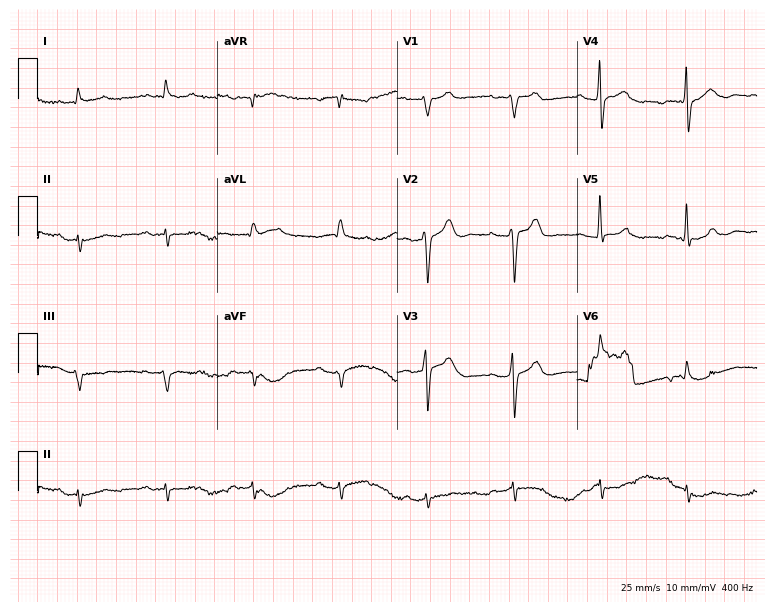
Resting 12-lead electrocardiogram (7.3-second recording at 400 Hz). Patient: a male, 82 years old. None of these six findings is recorded: first-degree AV block, right bundle branch block, left bundle branch block, sinus bradycardia, atrial fibrillation, sinus tachycardia.